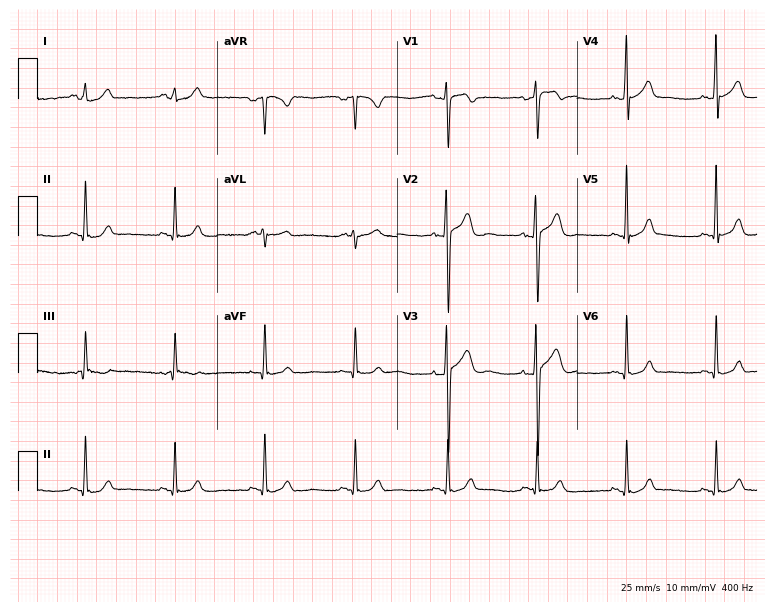
12-lead ECG (7.3-second recording at 400 Hz) from a male patient, 28 years old. Labelled as a normal ECG.